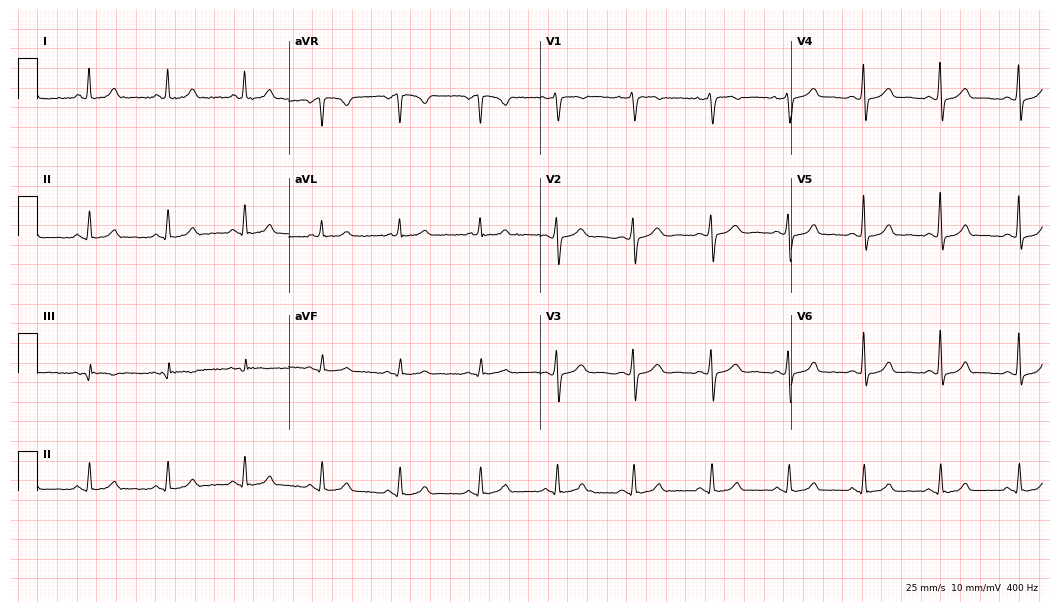
ECG (10.2-second recording at 400 Hz) — a female, 36 years old. Labelled as a normal ECG.